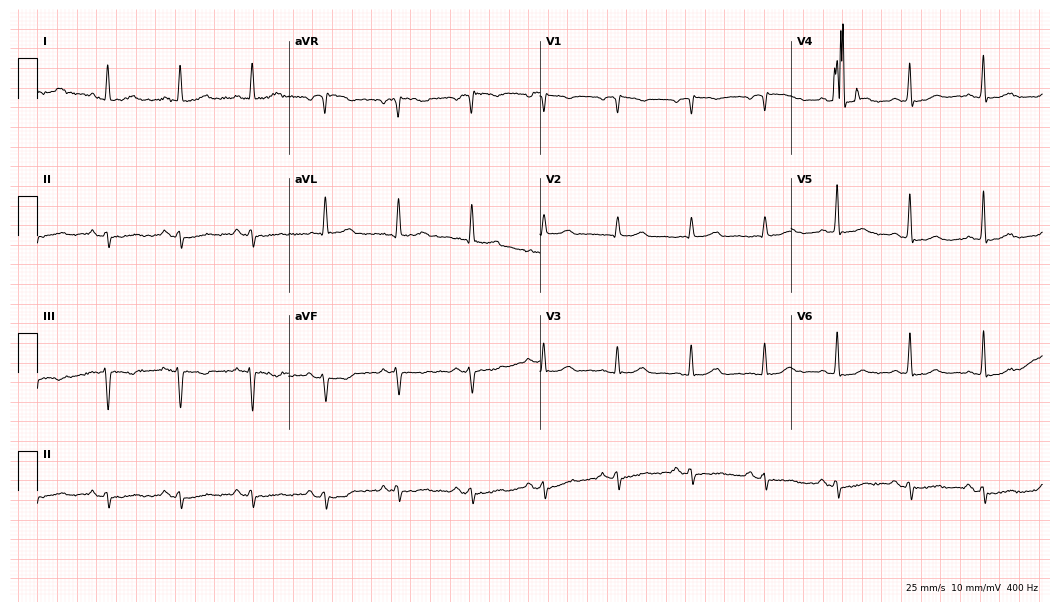
12-lead ECG from a female patient, 71 years old. No first-degree AV block, right bundle branch block, left bundle branch block, sinus bradycardia, atrial fibrillation or sinus tachycardia recorded for this tracing. Only these six findings were labelled.